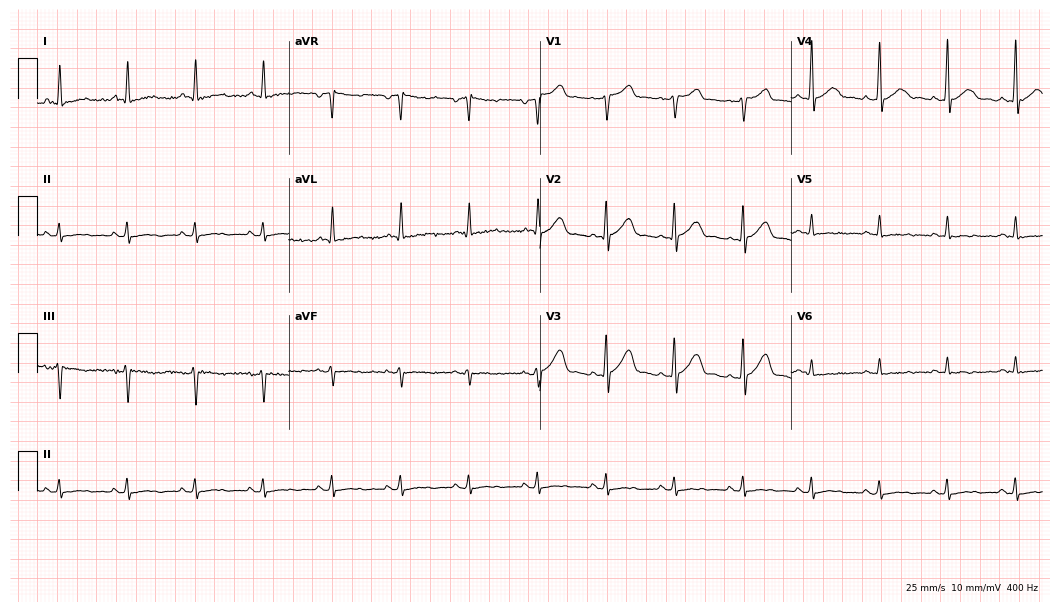
12-lead ECG from a 63-year-old male. Labelled as a normal ECG.